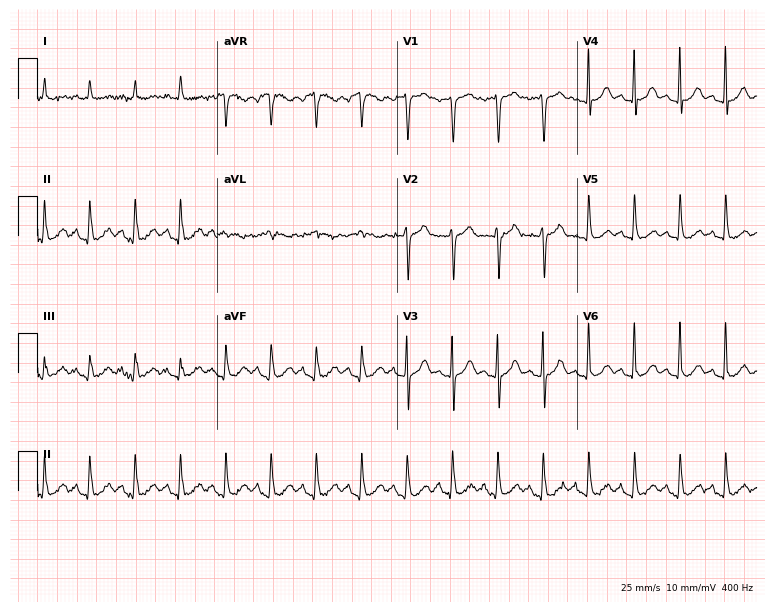
Resting 12-lead electrocardiogram (7.3-second recording at 400 Hz). Patient: a male, 71 years old. The tracing shows sinus tachycardia (a sinus rate of 100 beats per minute or more).